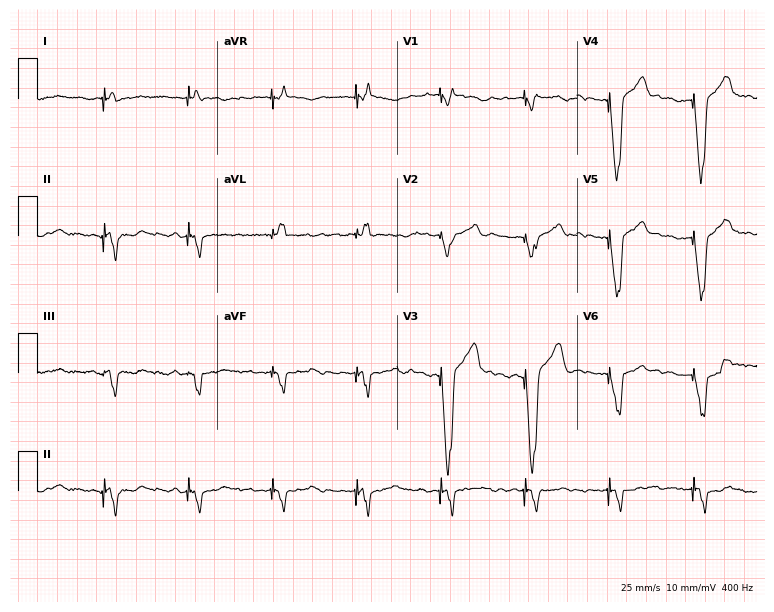
12-lead ECG from a 59-year-old male patient. No first-degree AV block, right bundle branch block, left bundle branch block, sinus bradycardia, atrial fibrillation or sinus tachycardia recorded for this tracing.